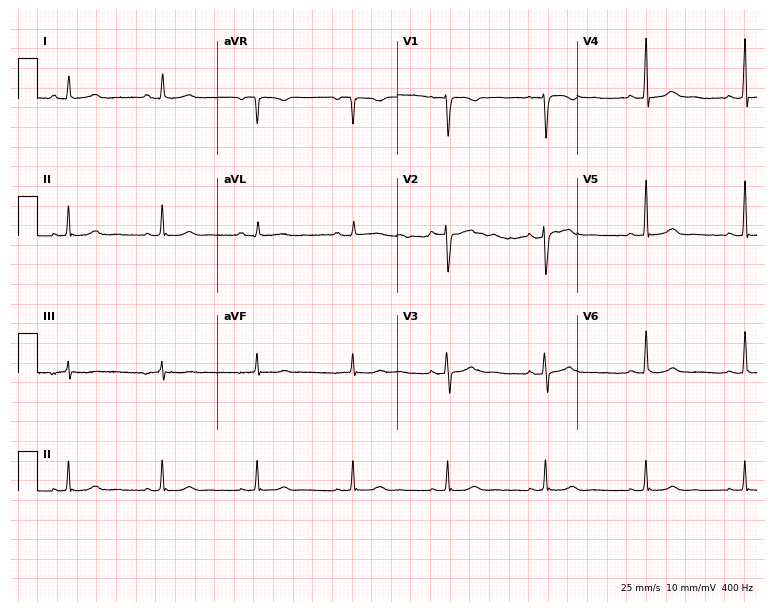
12-lead ECG from a 24-year-old female patient (7.3-second recording at 400 Hz). Recorded interpretation: within normal limits.